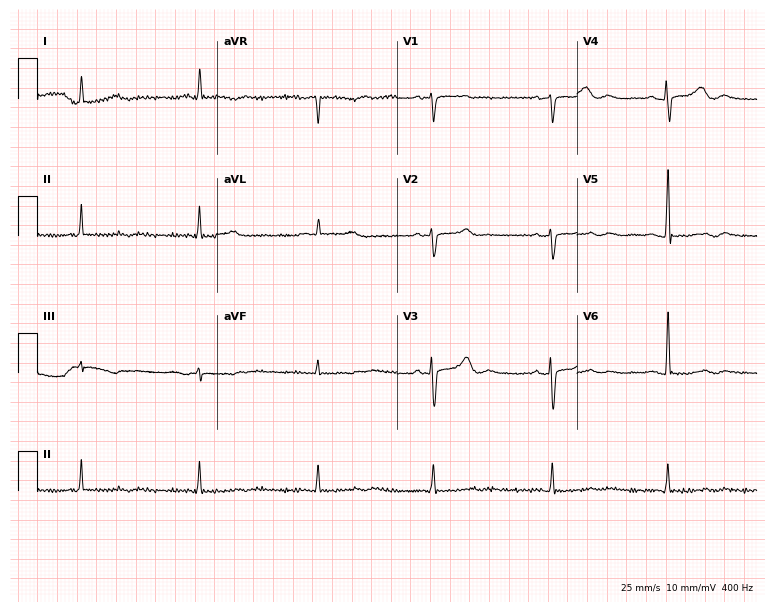
Standard 12-lead ECG recorded from a woman, 70 years old. None of these six findings is recorded: first-degree AV block, right bundle branch block (RBBB), left bundle branch block (LBBB), sinus bradycardia, atrial fibrillation (AF), sinus tachycardia.